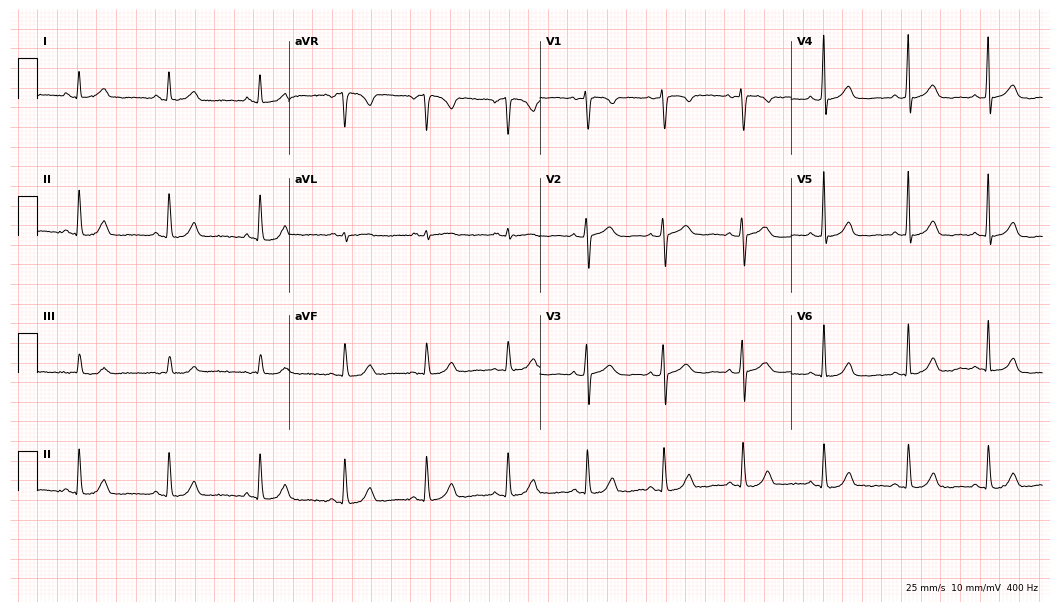
12-lead ECG from a female patient, 36 years old. No first-degree AV block, right bundle branch block, left bundle branch block, sinus bradycardia, atrial fibrillation or sinus tachycardia recorded for this tracing.